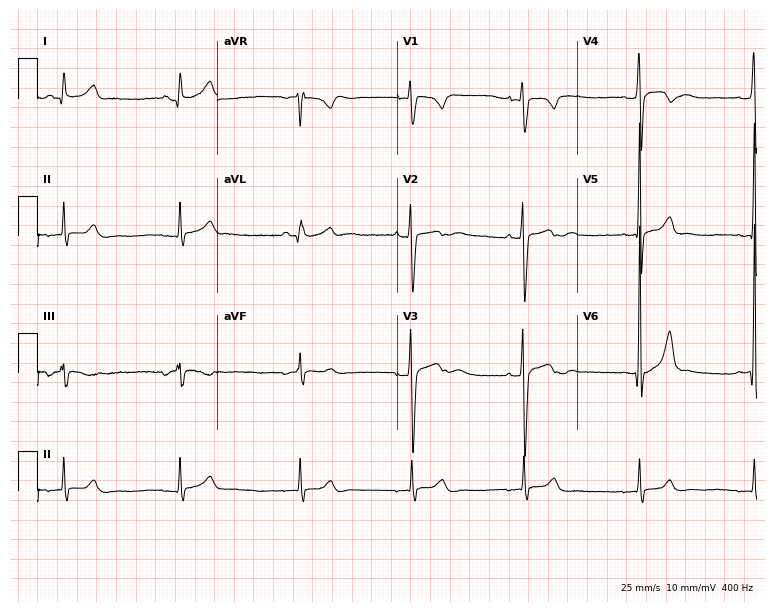
12-lead ECG from a man, 18 years old (7.3-second recording at 400 Hz). Recorded interpretation: within normal limits.